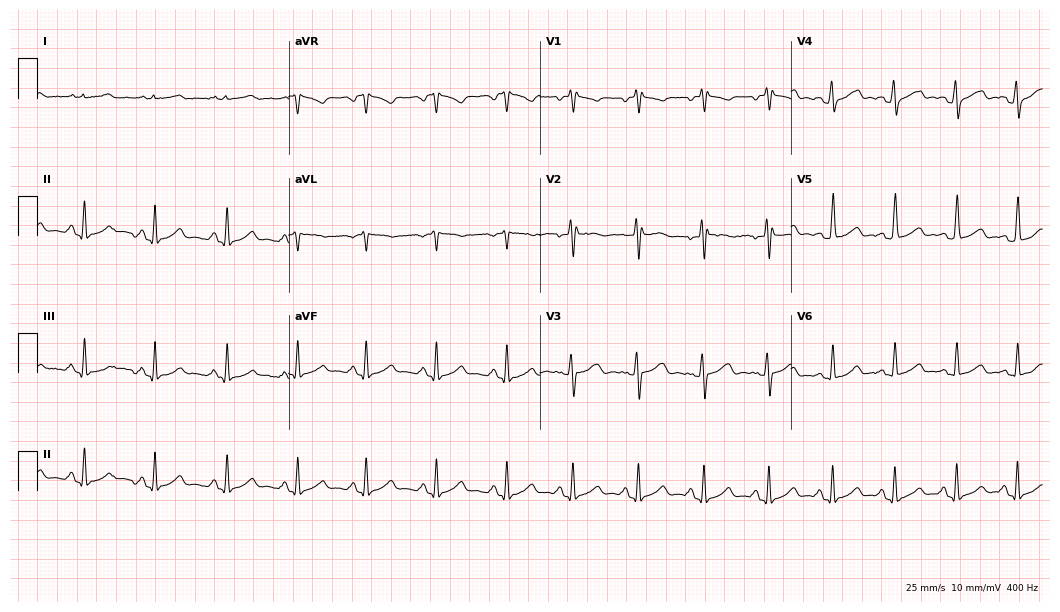
Resting 12-lead electrocardiogram (10.2-second recording at 400 Hz). Patient: a 21-year-old woman. Read as a normal ECG.